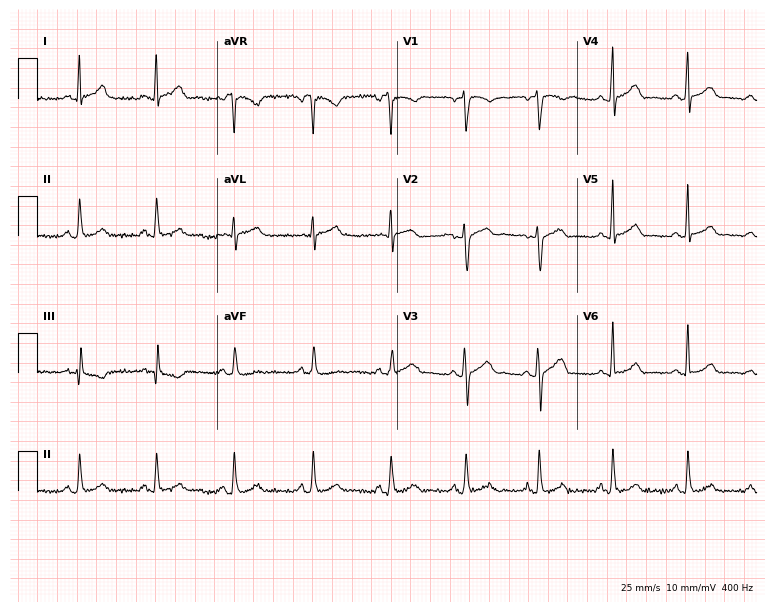
ECG (7.3-second recording at 400 Hz) — a 42-year-old female patient. Labelled as a normal ECG.